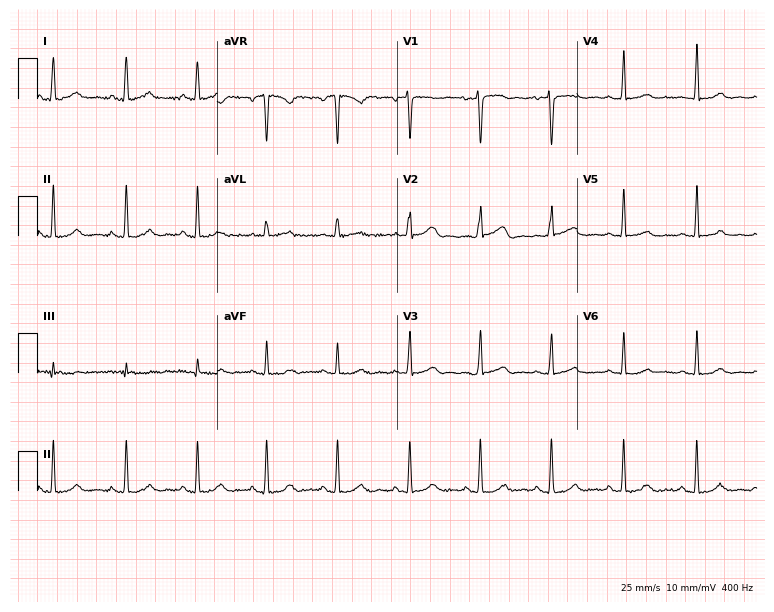
12-lead ECG from a woman, 36 years old. Recorded interpretation: within normal limits.